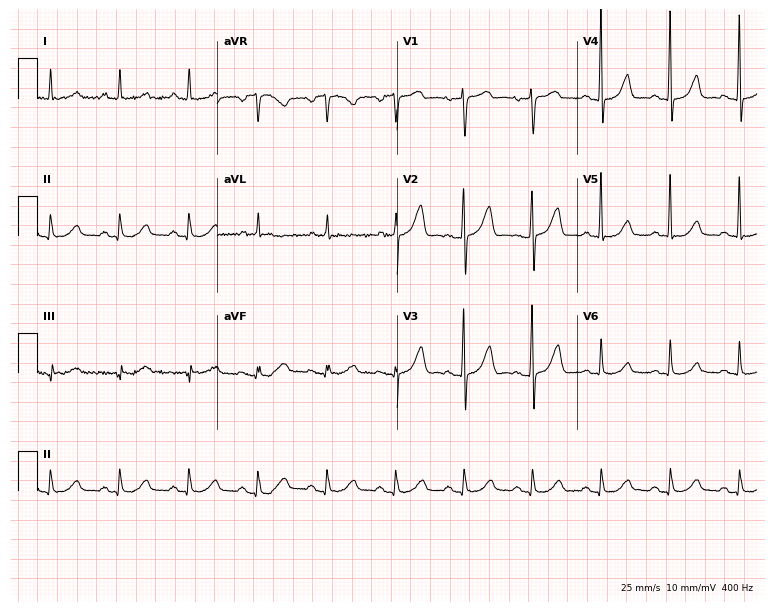
Electrocardiogram, a female patient, 69 years old. Overall reading on record: normal ECG.